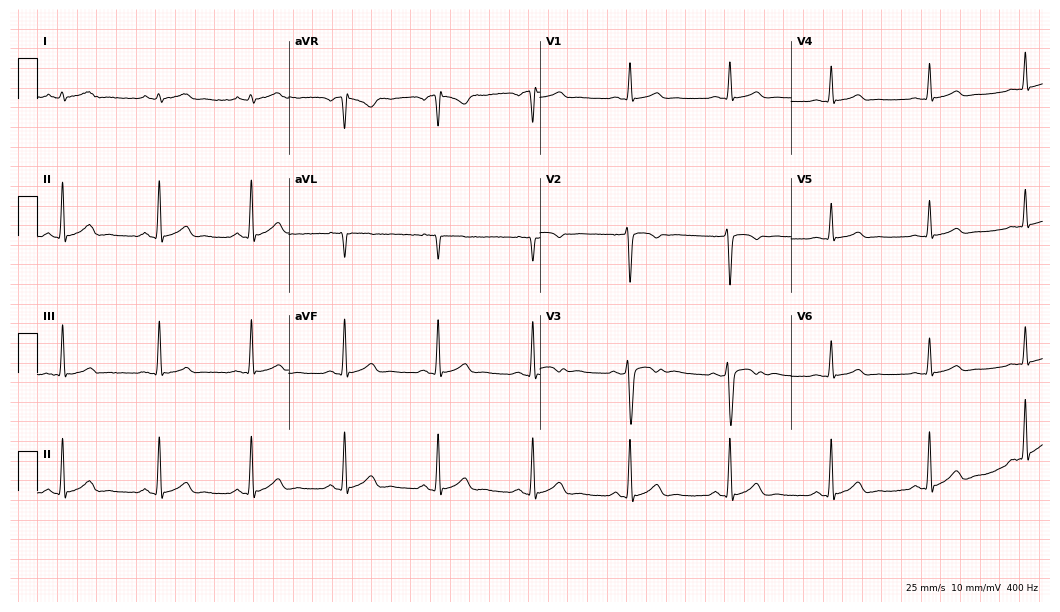
12-lead ECG from a man, 34 years old (10.2-second recording at 400 Hz). Recorded interpretation: within normal limits.